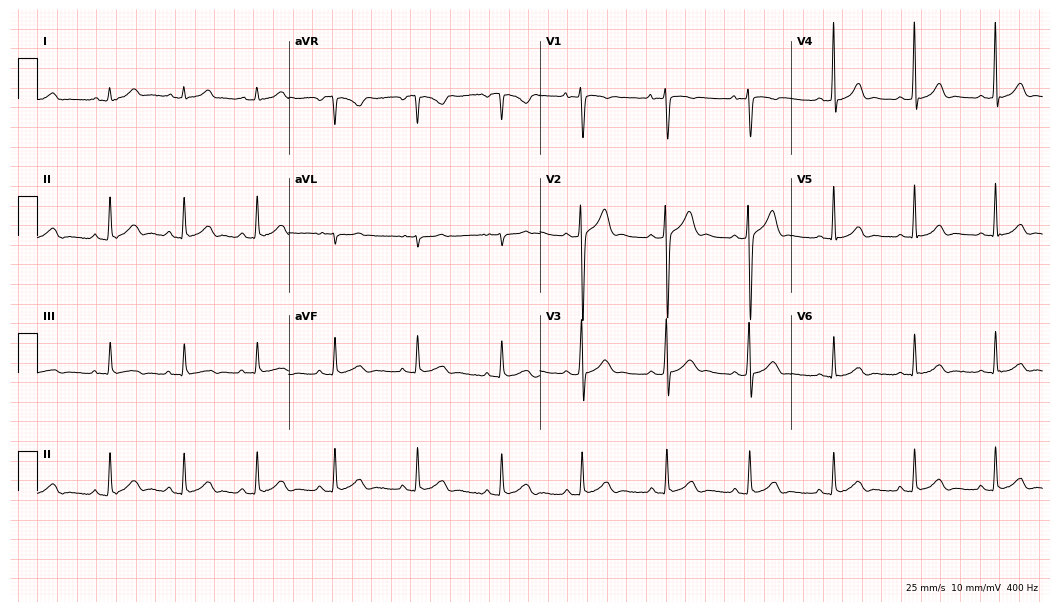
Resting 12-lead electrocardiogram (10.2-second recording at 400 Hz). Patient: a 17-year-old male. Read as a normal ECG.